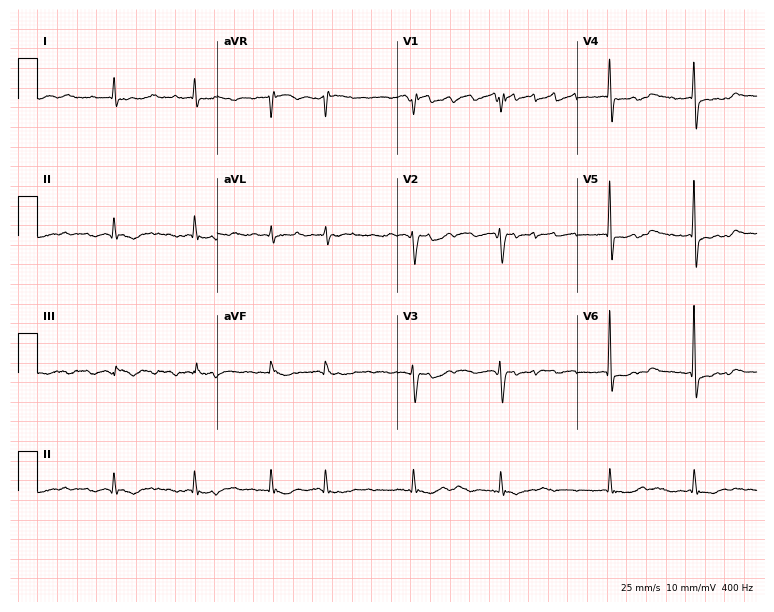
Electrocardiogram (7.3-second recording at 400 Hz), a 76-year-old woman. Of the six screened findings (first-degree AV block, right bundle branch block (RBBB), left bundle branch block (LBBB), sinus bradycardia, atrial fibrillation (AF), sinus tachycardia), none is recorded.